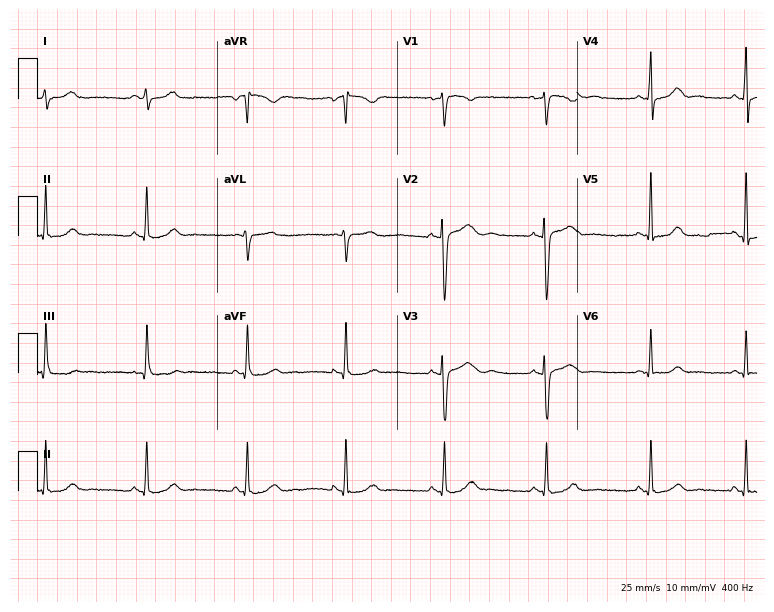
Standard 12-lead ECG recorded from a female, 38 years old. None of these six findings is recorded: first-degree AV block, right bundle branch block, left bundle branch block, sinus bradycardia, atrial fibrillation, sinus tachycardia. Other findings, if any, are not listed.